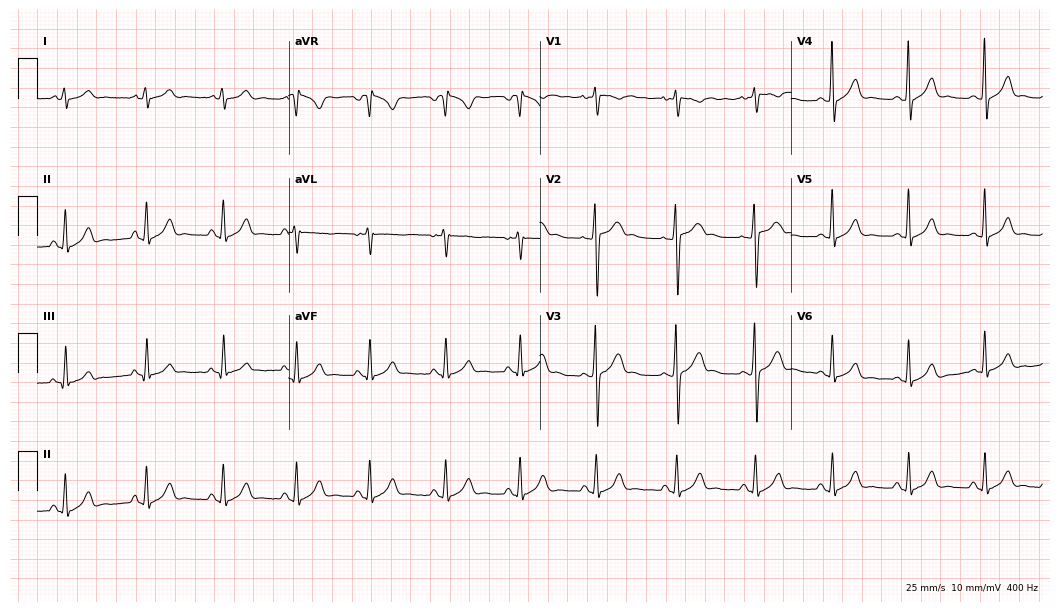
12-lead ECG (10.2-second recording at 400 Hz) from a 29-year-old woman. Labelled as a normal ECG.